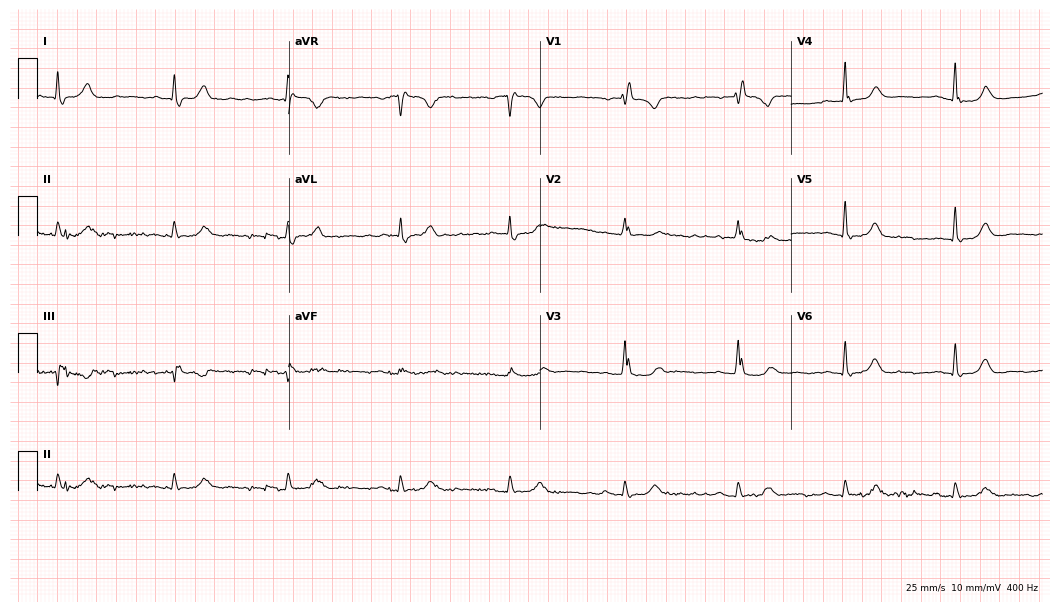
Electrocardiogram, a 74-year-old woman. Of the six screened findings (first-degree AV block, right bundle branch block (RBBB), left bundle branch block (LBBB), sinus bradycardia, atrial fibrillation (AF), sinus tachycardia), none is recorded. Findings outside these six are not listed.